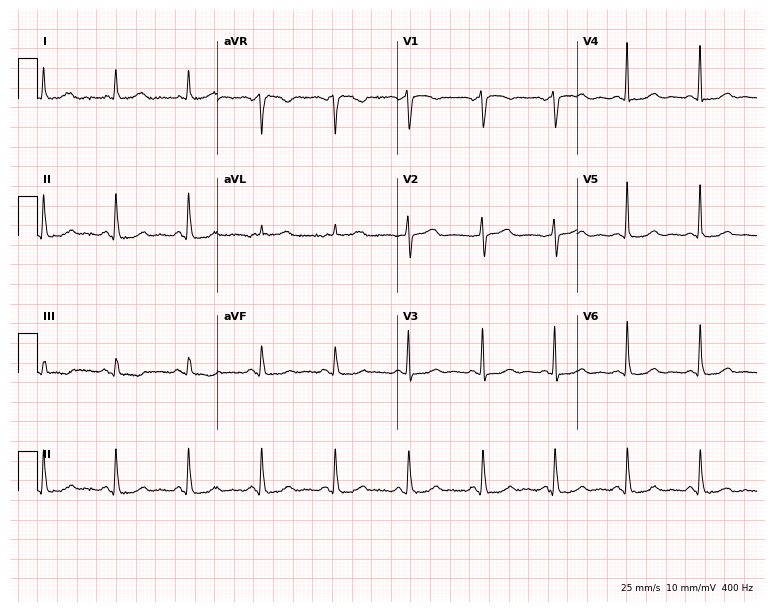
Electrocardiogram (7.3-second recording at 400 Hz), a female patient, 75 years old. Overall reading on record: normal ECG.